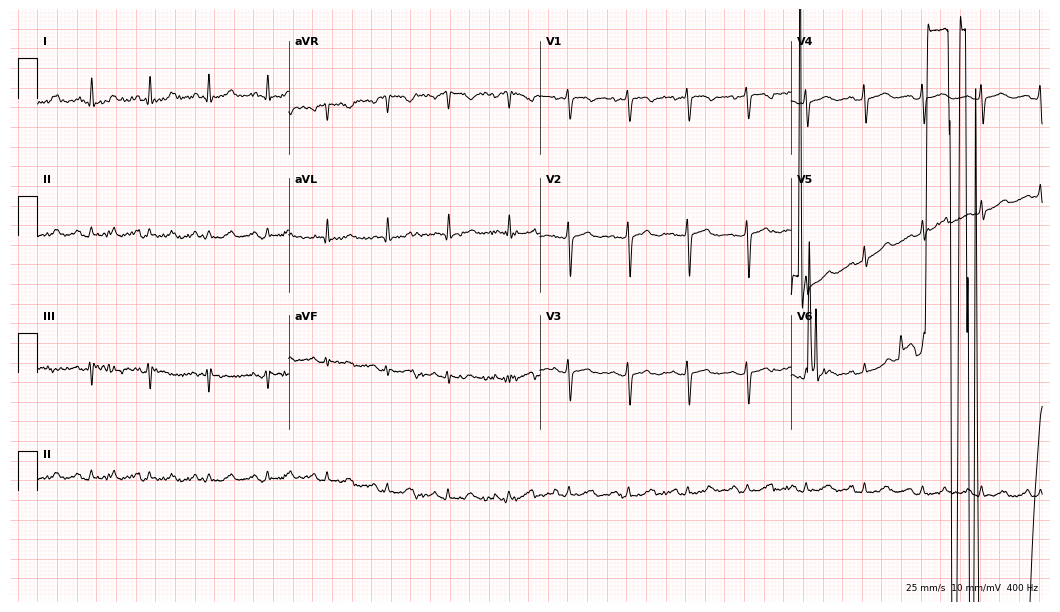
12-lead ECG from a female patient, 59 years old (10.2-second recording at 400 Hz). No first-degree AV block, right bundle branch block, left bundle branch block, sinus bradycardia, atrial fibrillation or sinus tachycardia recorded for this tracing.